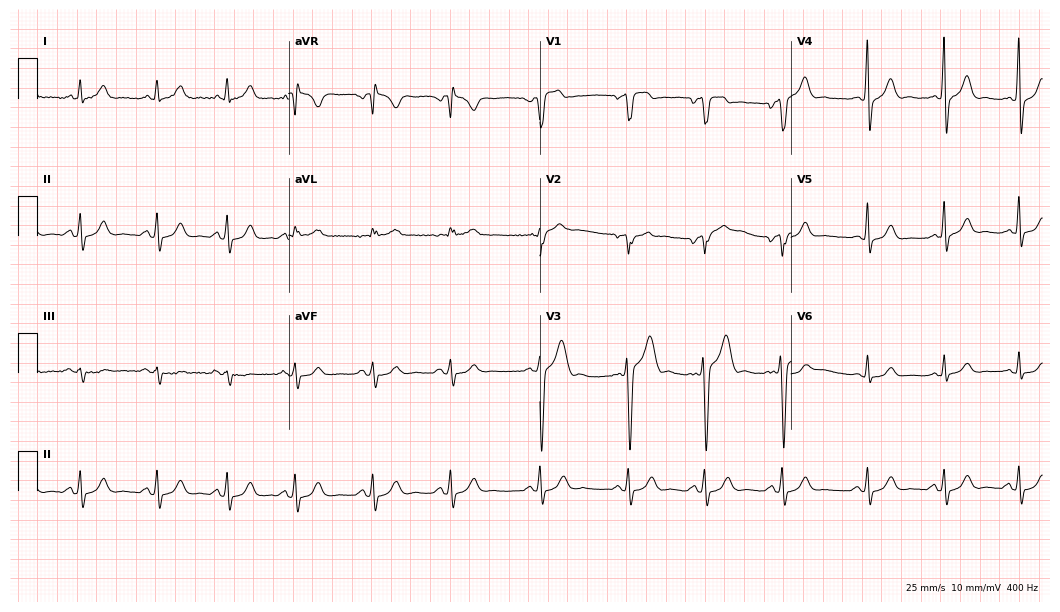
Standard 12-lead ECG recorded from a male, 22 years old. Read as a normal ECG.